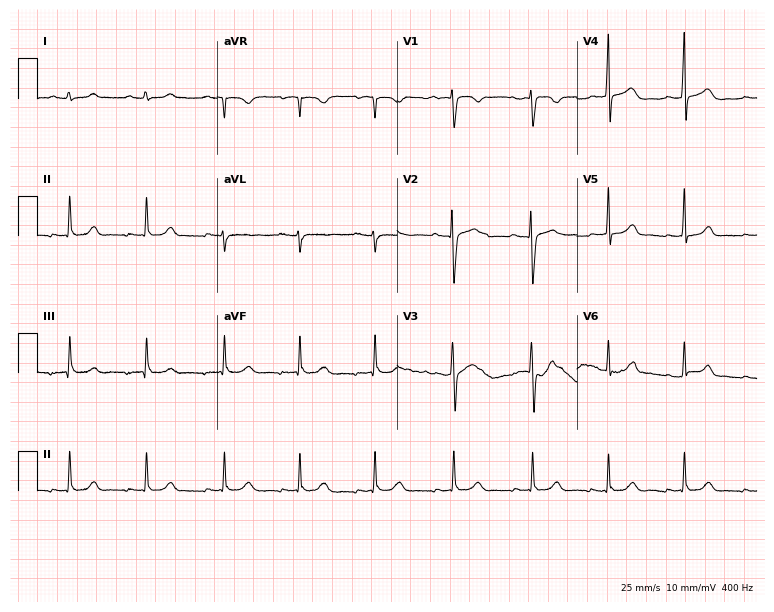
12-lead ECG (7.3-second recording at 400 Hz) from a woman, 29 years old. Labelled as a normal ECG.